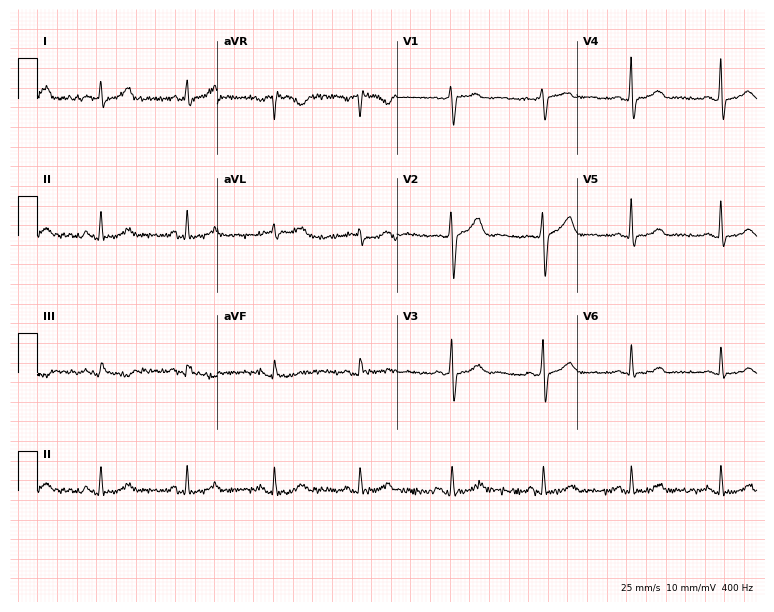
Standard 12-lead ECG recorded from a female patient, 36 years old (7.3-second recording at 400 Hz). None of these six findings is recorded: first-degree AV block, right bundle branch block (RBBB), left bundle branch block (LBBB), sinus bradycardia, atrial fibrillation (AF), sinus tachycardia. Only these six findings were labelled.